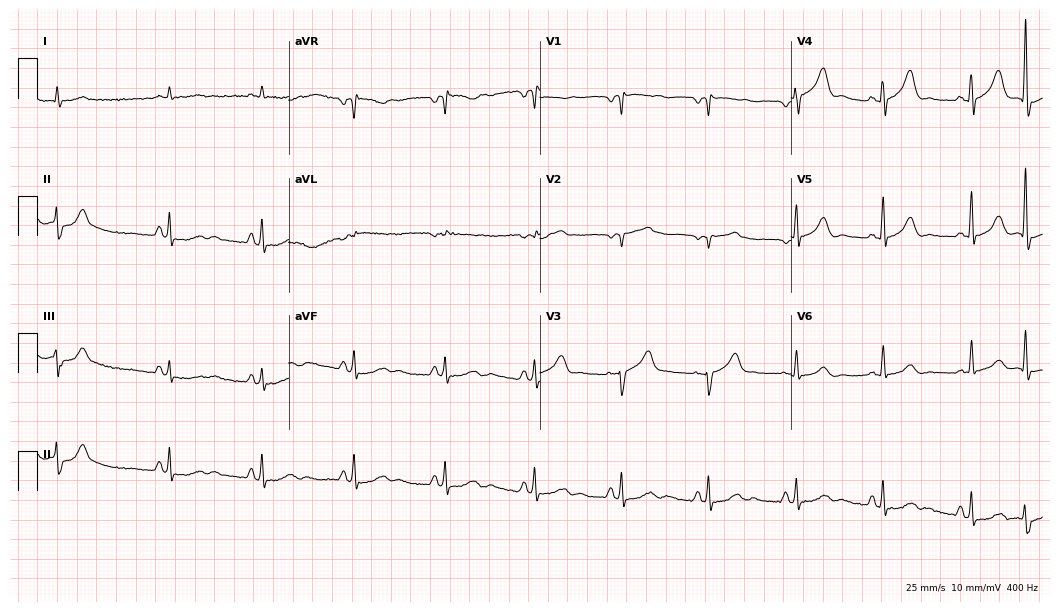
12-lead ECG from an 80-year-old woman. Screened for six findings — first-degree AV block, right bundle branch block, left bundle branch block, sinus bradycardia, atrial fibrillation, sinus tachycardia — none is recorded. Other findings, if any, are not listed.